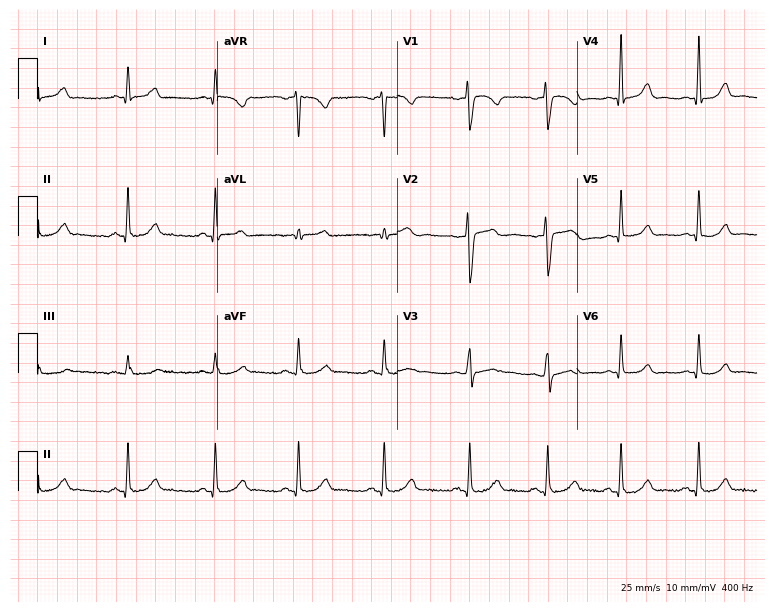
ECG — a 35-year-old female patient. Screened for six findings — first-degree AV block, right bundle branch block (RBBB), left bundle branch block (LBBB), sinus bradycardia, atrial fibrillation (AF), sinus tachycardia — none is recorded. Findings outside these six are not listed.